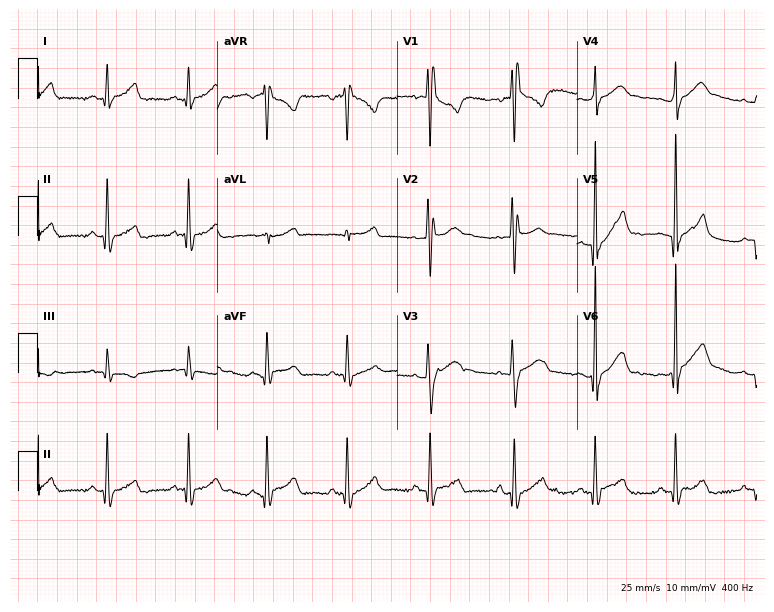
12-lead ECG from a male, 22 years old (7.3-second recording at 400 Hz). No first-degree AV block, right bundle branch block (RBBB), left bundle branch block (LBBB), sinus bradycardia, atrial fibrillation (AF) or sinus tachycardia recorded for this tracing. Other findings, if any, are not listed.